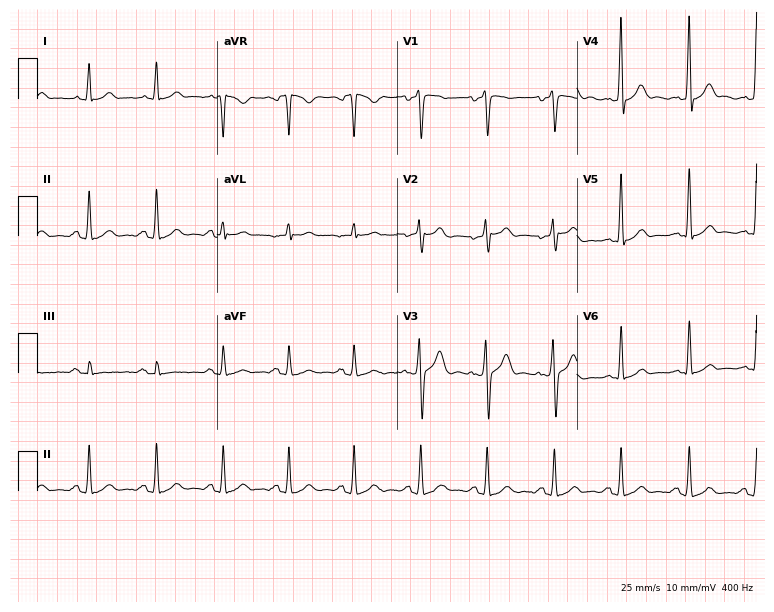
ECG (7.3-second recording at 400 Hz) — a man, 23 years old. Screened for six findings — first-degree AV block, right bundle branch block (RBBB), left bundle branch block (LBBB), sinus bradycardia, atrial fibrillation (AF), sinus tachycardia — none is recorded. Other findings, if any, are not listed.